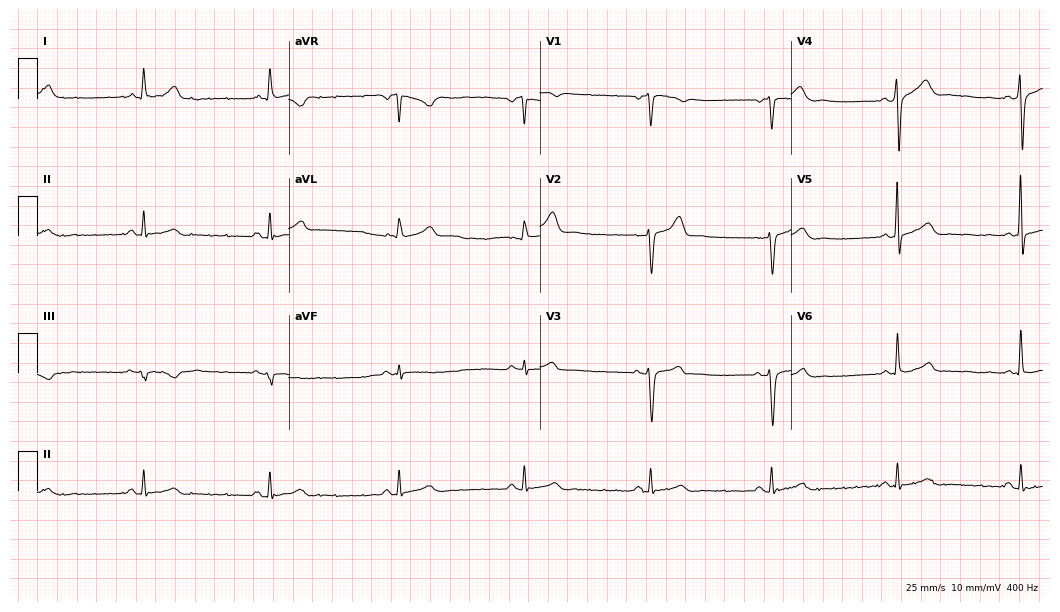
12-lead ECG (10.2-second recording at 400 Hz) from a 53-year-old male patient. Findings include sinus bradycardia (a sinus rate of 50 beats per minute or less).